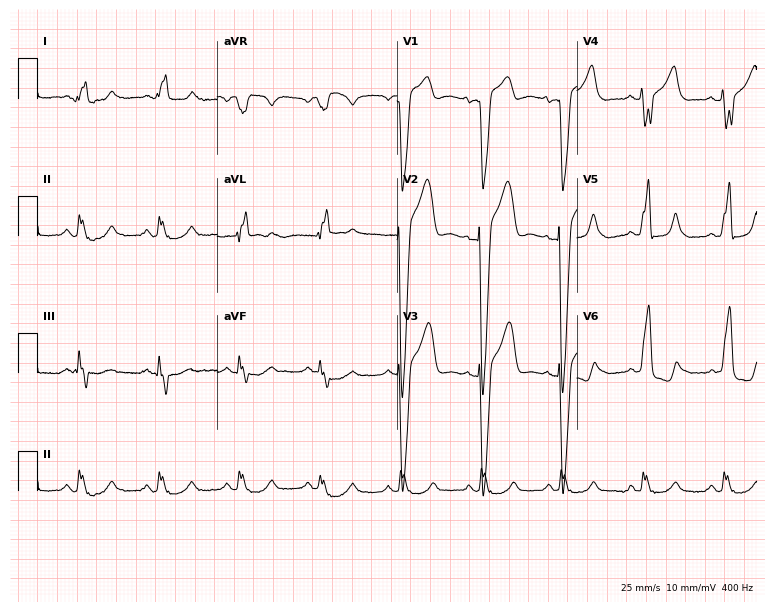
Resting 12-lead electrocardiogram. Patient: a man, 74 years old. The tracing shows left bundle branch block (LBBB).